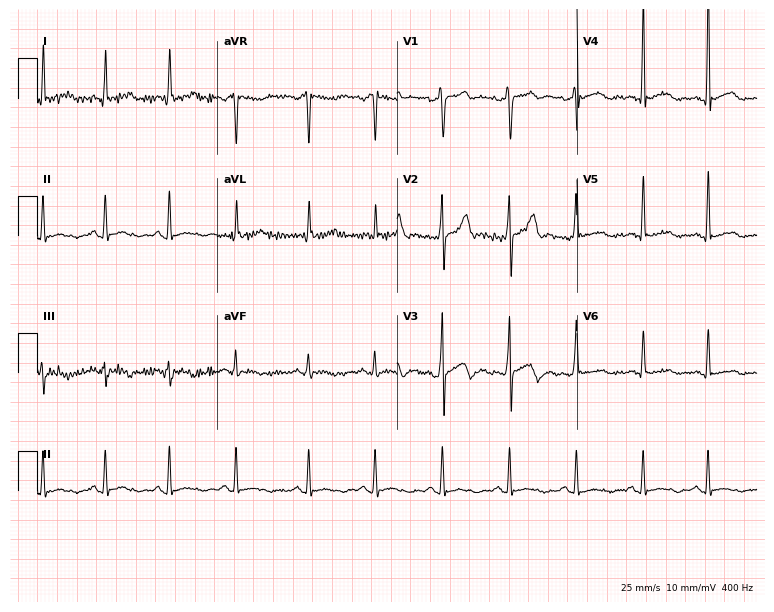
Standard 12-lead ECG recorded from a 29-year-old male patient (7.3-second recording at 400 Hz). None of these six findings is recorded: first-degree AV block, right bundle branch block, left bundle branch block, sinus bradycardia, atrial fibrillation, sinus tachycardia.